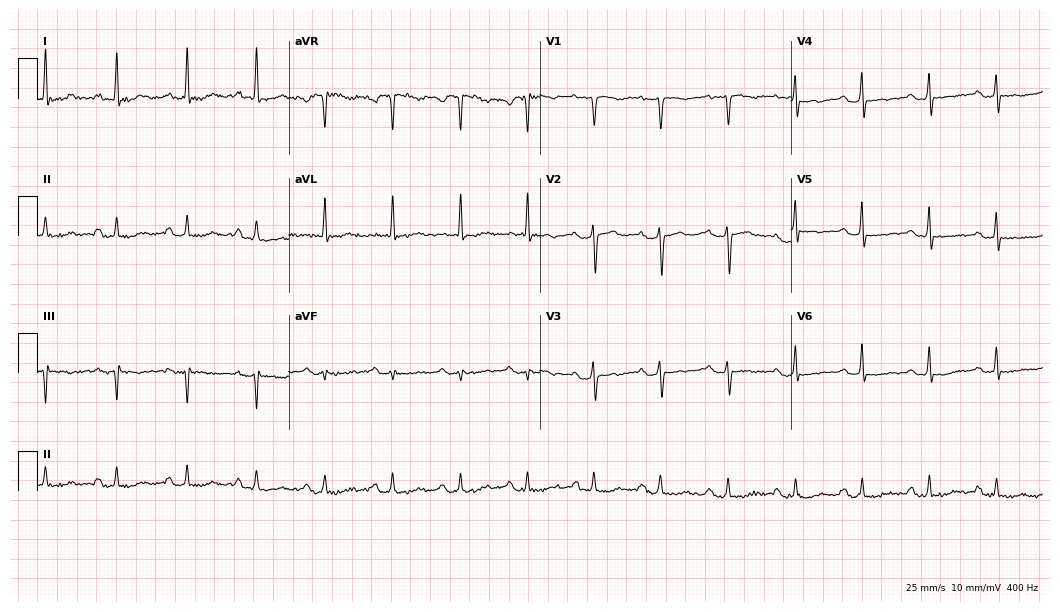
ECG — a 46-year-old female patient. Labelled as a normal ECG.